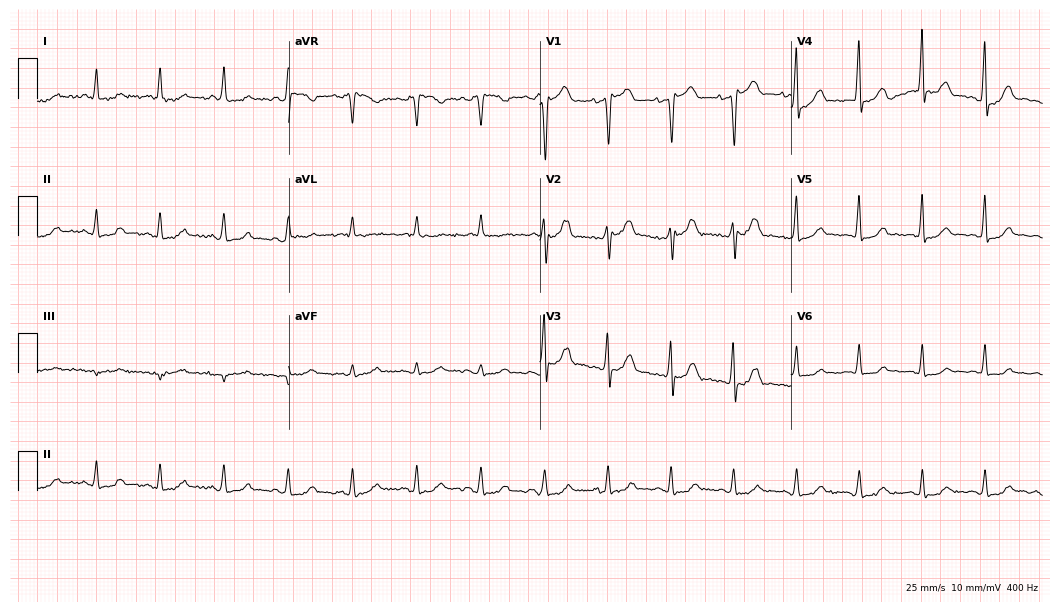
ECG (10.2-second recording at 400 Hz) — an 80-year-old female patient. Labelled as a normal ECG.